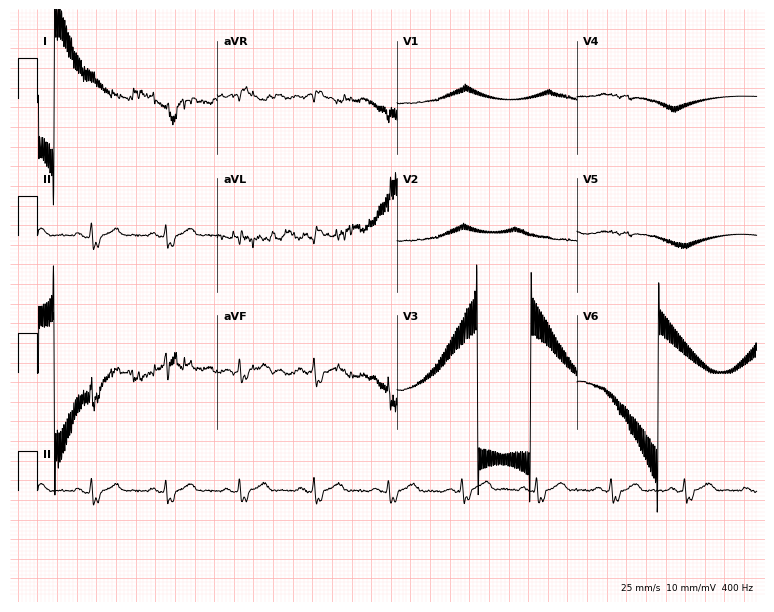
ECG (7.3-second recording at 400 Hz) — a 53-year-old male. Screened for six findings — first-degree AV block, right bundle branch block, left bundle branch block, sinus bradycardia, atrial fibrillation, sinus tachycardia — none is recorded. Other findings, if any, are not listed.